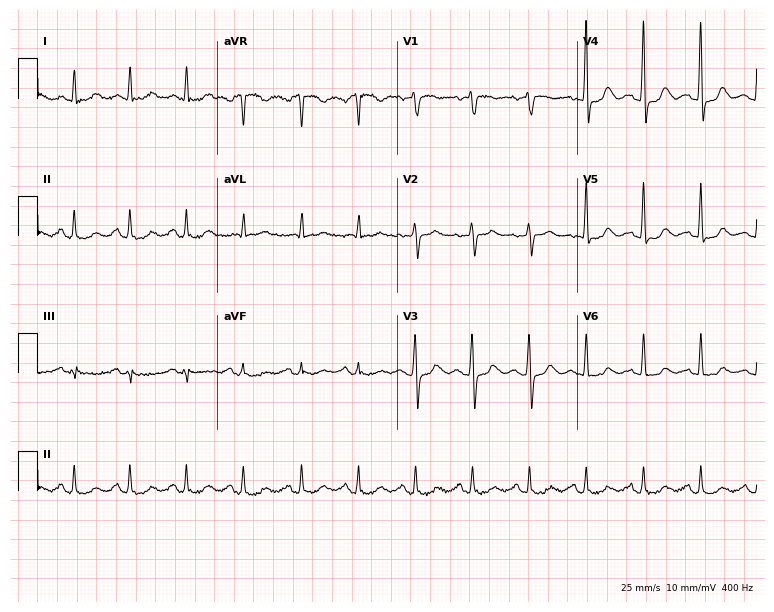
Standard 12-lead ECG recorded from a 56-year-old female patient. The tracing shows sinus tachycardia (a sinus rate of 100 beats per minute or more).